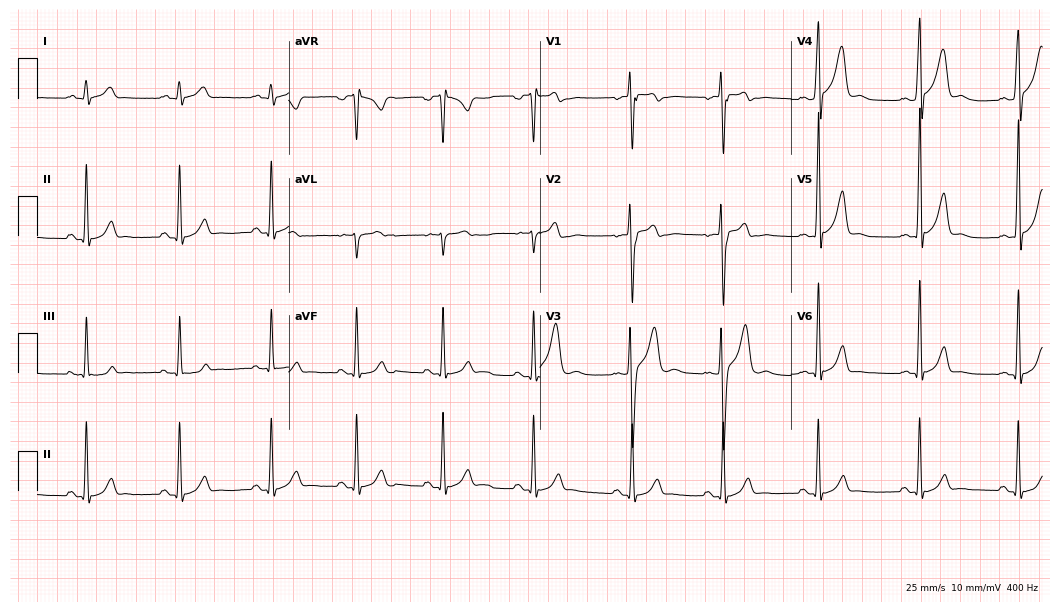
Electrocardiogram, a male, 18 years old. Overall reading on record: normal ECG.